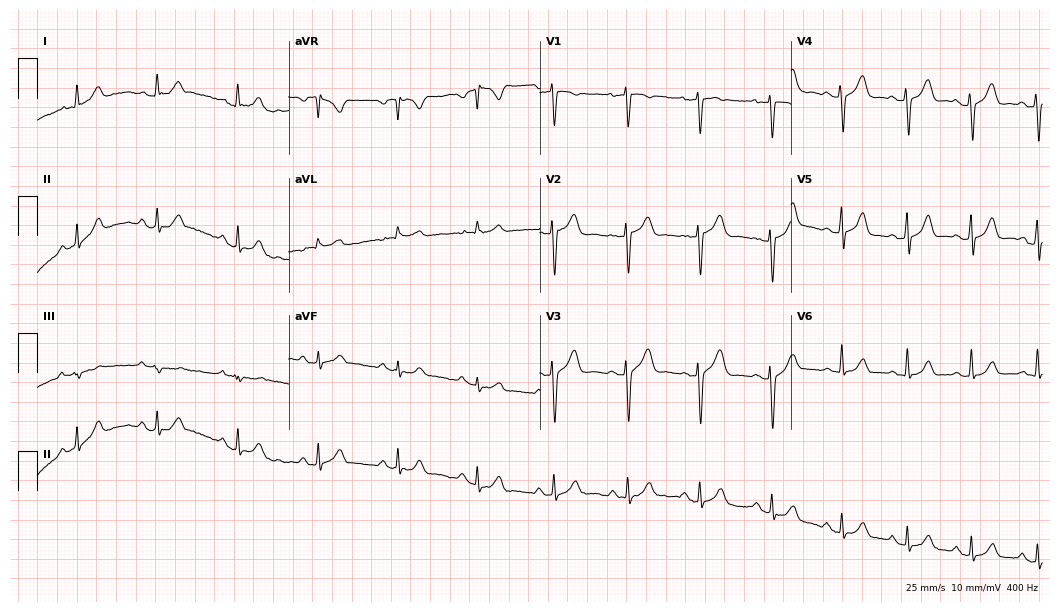
12-lead ECG from a male patient, 48 years old (10.2-second recording at 400 Hz). No first-degree AV block, right bundle branch block (RBBB), left bundle branch block (LBBB), sinus bradycardia, atrial fibrillation (AF) or sinus tachycardia recorded for this tracing.